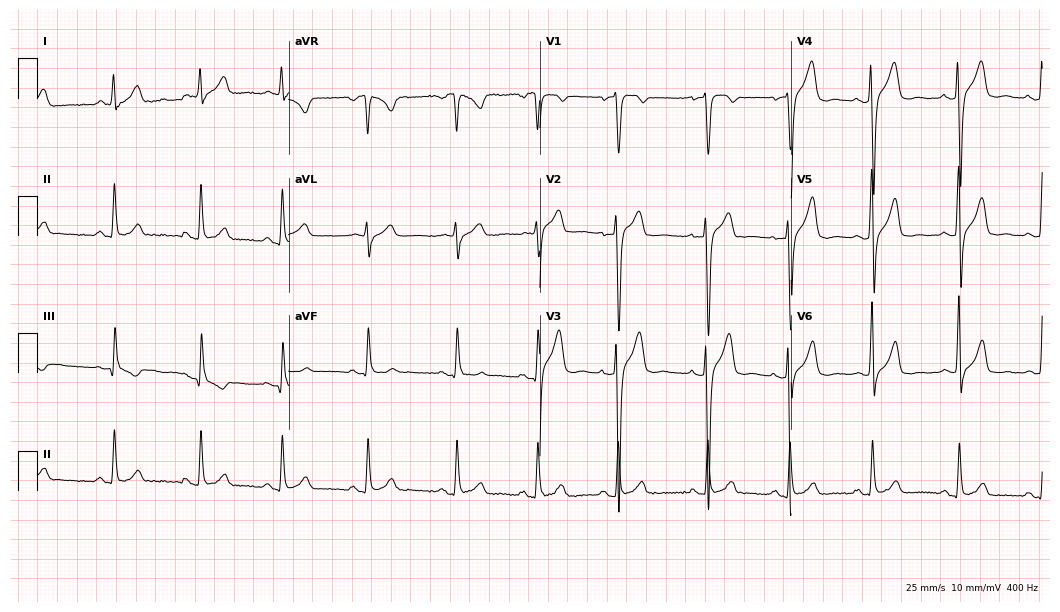
Electrocardiogram (10.2-second recording at 400 Hz), a 32-year-old male patient. Overall reading on record: normal ECG.